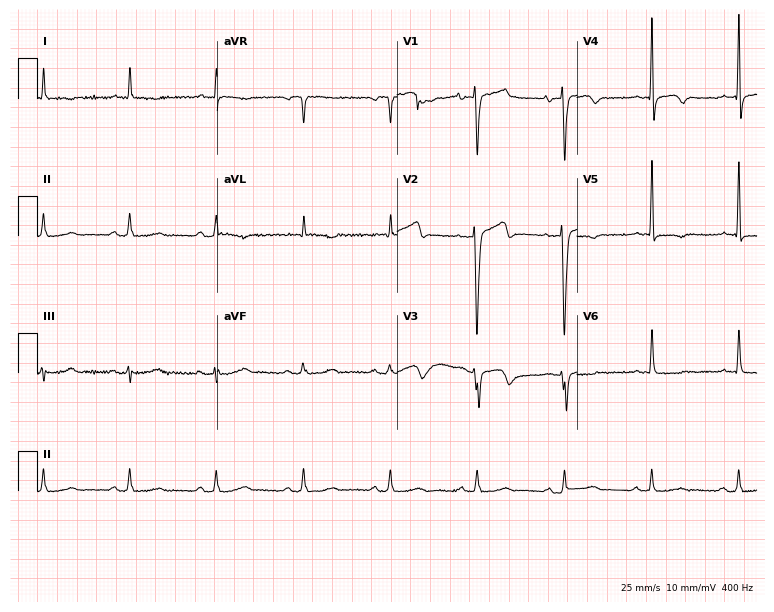
12-lead ECG from a woman, 81 years old. No first-degree AV block, right bundle branch block (RBBB), left bundle branch block (LBBB), sinus bradycardia, atrial fibrillation (AF) or sinus tachycardia recorded for this tracing.